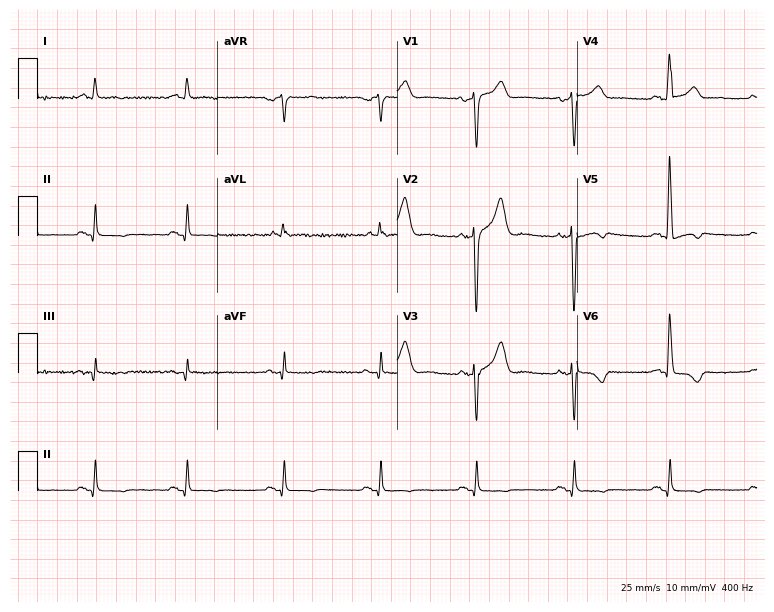
12-lead ECG from a 65-year-old male (7.3-second recording at 400 Hz). No first-degree AV block, right bundle branch block, left bundle branch block, sinus bradycardia, atrial fibrillation or sinus tachycardia recorded for this tracing.